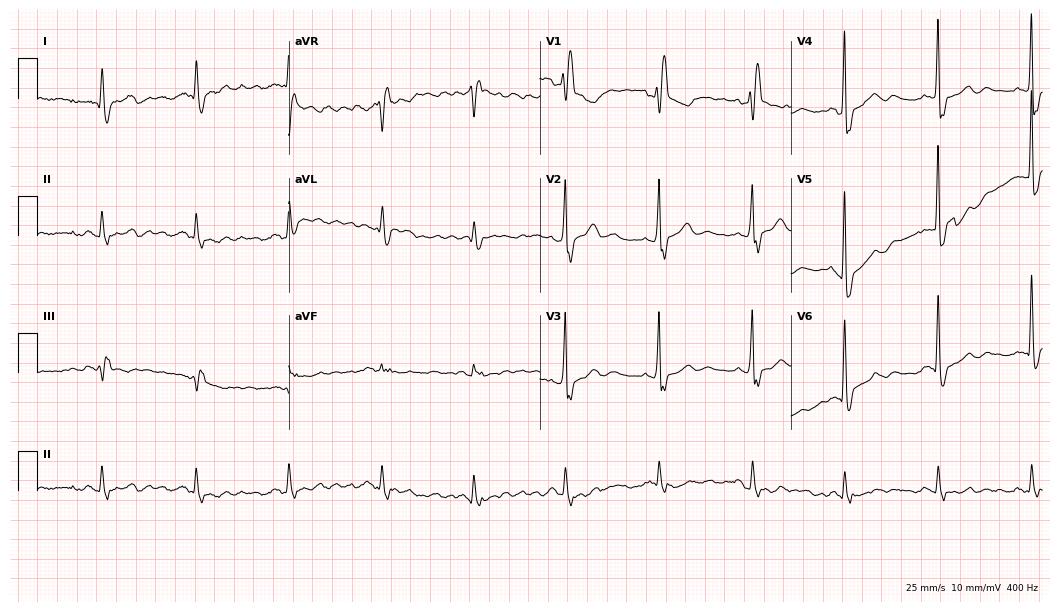
Electrocardiogram, a 68-year-old male patient. Of the six screened findings (first-degree AV block, right bundle branch block (RBBB), left bundle branch block (LBBB), sinus bradycardia, atrial fibrillation (AF), sinus tachycardia), none is recorded. Only these six findings were labelled.